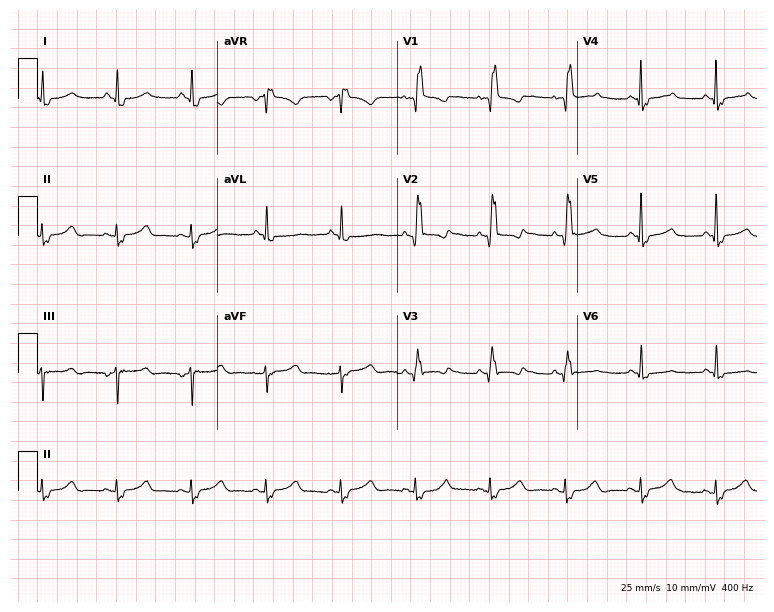
Standard 12-lead ECG recorded from a 78-year-old female patient (7.3-second recording at 400 Hz). The tracing shows right bundle branch block.